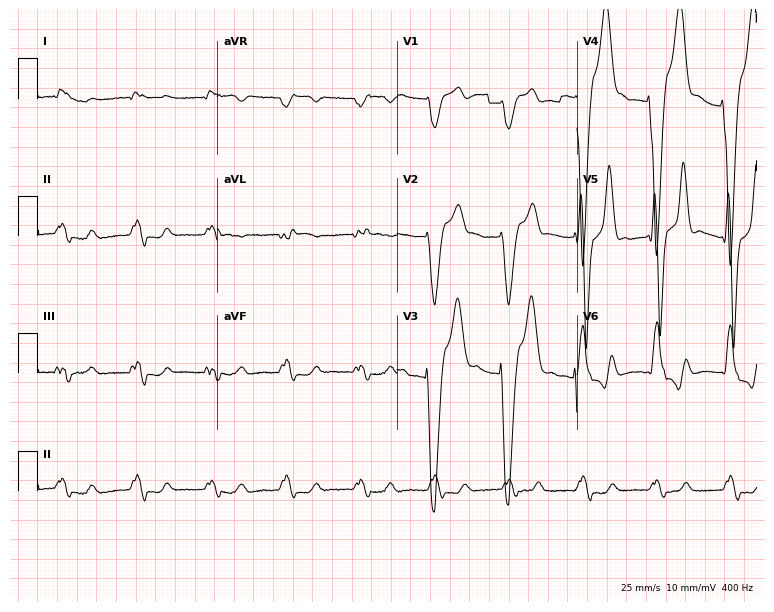
12-lead ECG from a female patient, 85 years old. Screened for six findings — first-degree AV block, right bundle branch block (RBBB), left bundle branch block (LBBB), sinus bradycardia, atrial fibrillation (AF), sinus tachycardia — none is recorded.